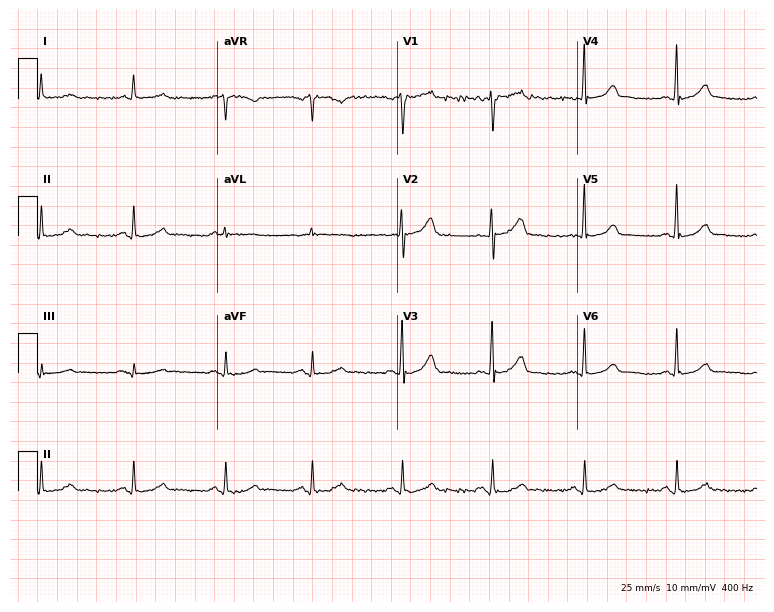
Electrocardiogram (7.3-second recording at 400 Hz), a 65-year-old man. Overall reading on record: normal ECG.